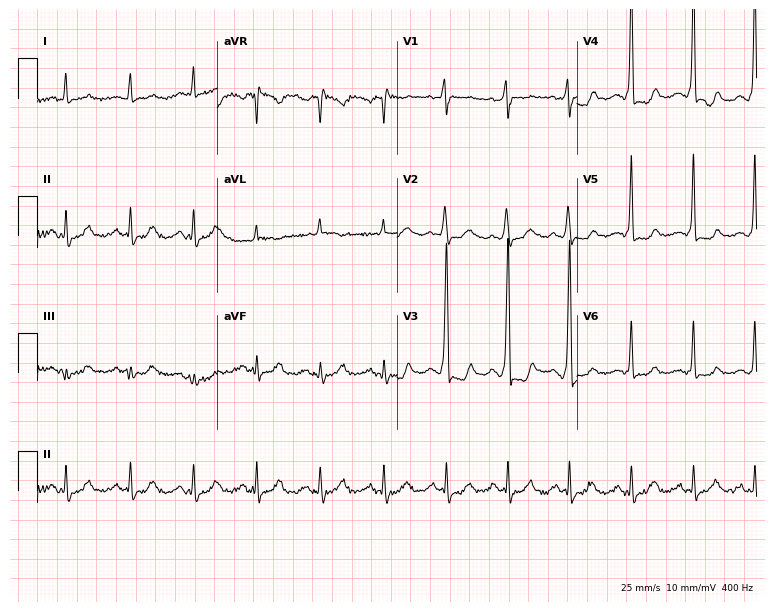
12-lead ECG from a male, 54 years old. Screened for six findings — first-degree AV block, right bundle branch block, left bundle branch block, sinus bradycardia, atrial fibrillation, sinus tachycardia — none is recorded. Other findings, if any, are not listed.